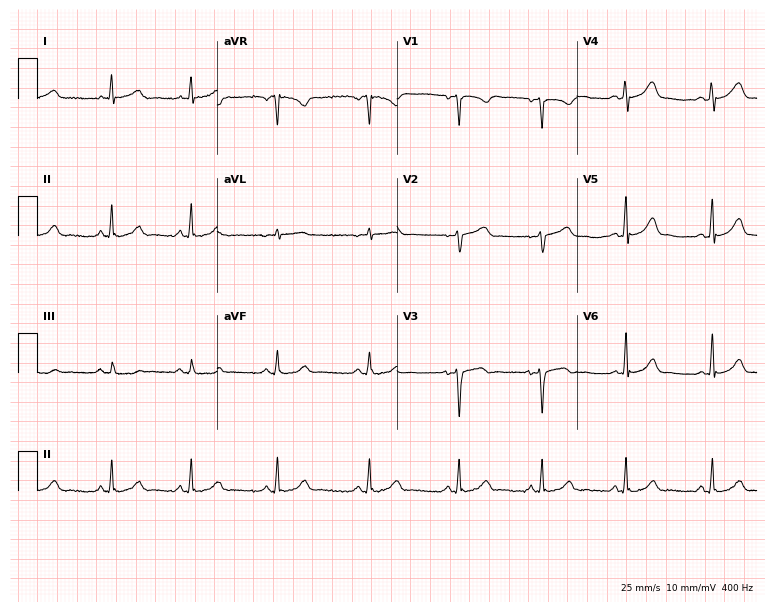
12-lead ECG (7.3-second recording at 400 Hz) from a female patient, 30 years old. Labelled as a normal ECG.